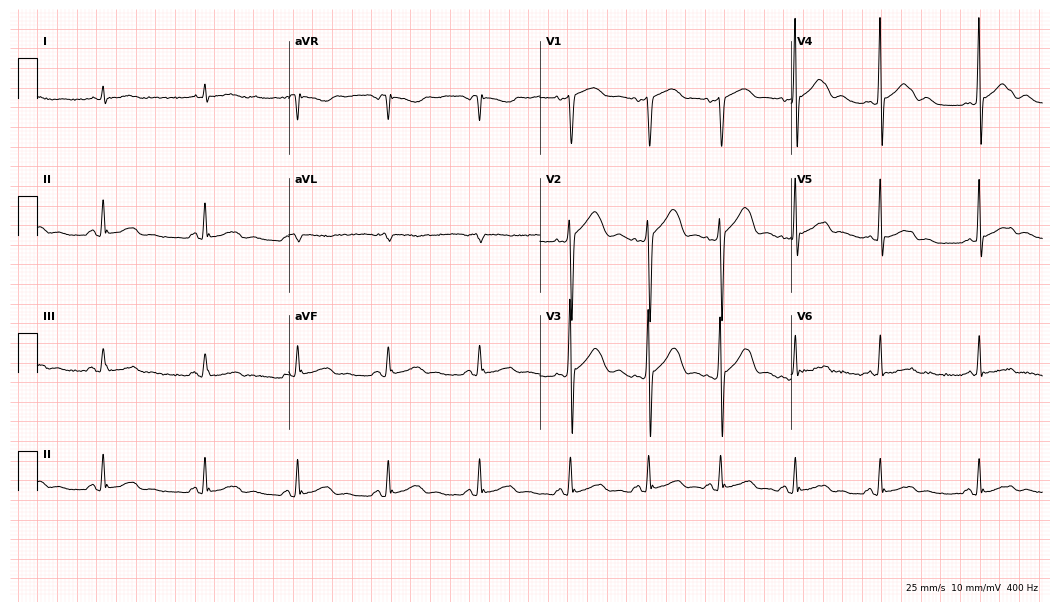
ECG (10.2-second recording at 400 Hz) — a man, 61 years old. Screened for six findings — first-degree AV block, right bundle branch block, left bundle branch block, sinus bradycardia, atrial fibrillation, sinus tachycardia — none is recorded. Findings outside these six are not listed.